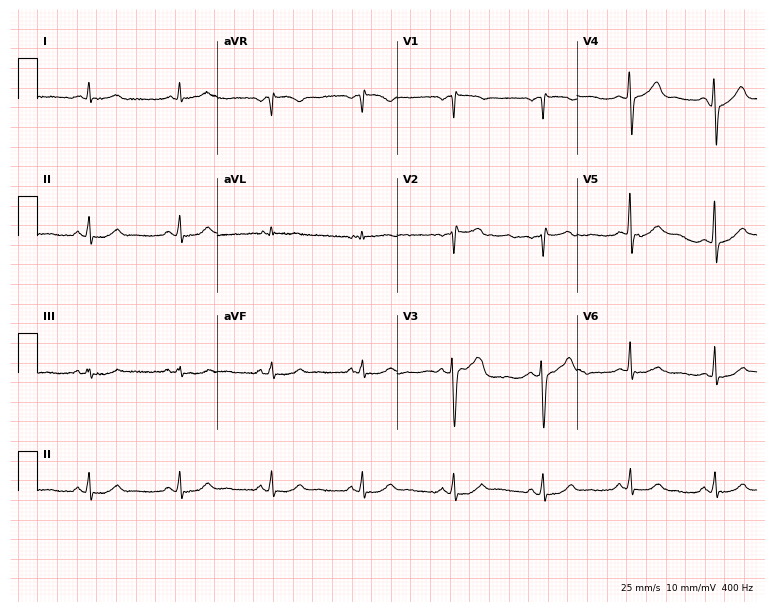
12-lead ECG from a male, 58 years old (7.3-second recording at 400 Hz). Recorded interpretation: within normal limits.